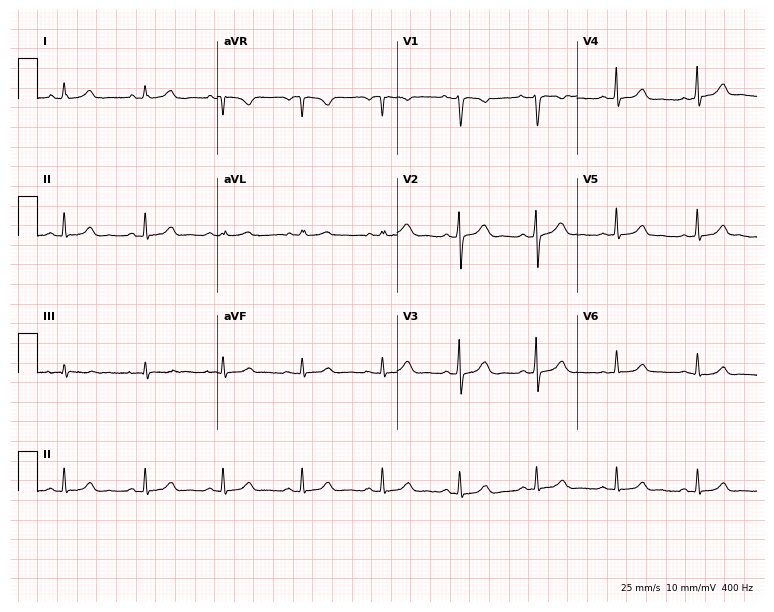
Resting 12-lead electrocardiogram. Patient: a 25-year-old female. None of these six findings is recorded: first-degree AV block, right bundle branch block, left bundle branch block, sinus bradycardia, atrial fibrillation, sinus tachycardia.